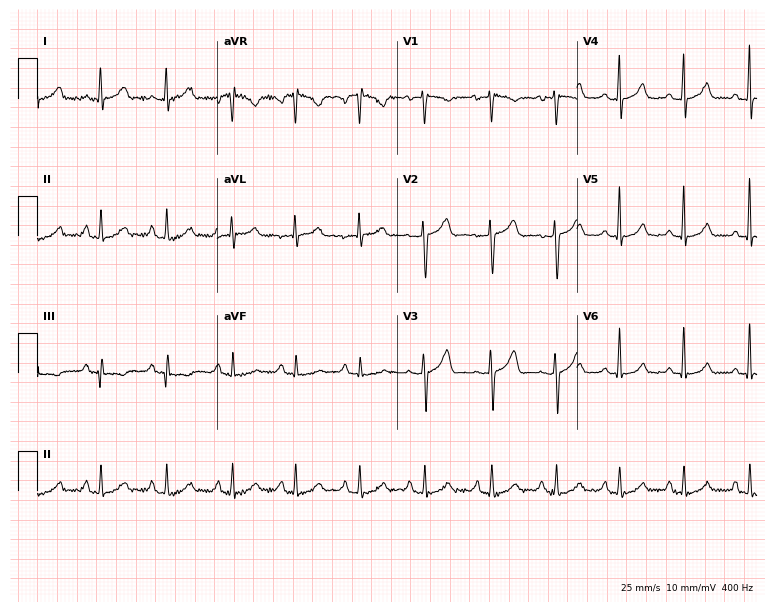
Standard 12-lead ECG recorded from a 41-year-old woman. Read as a normal ECG.